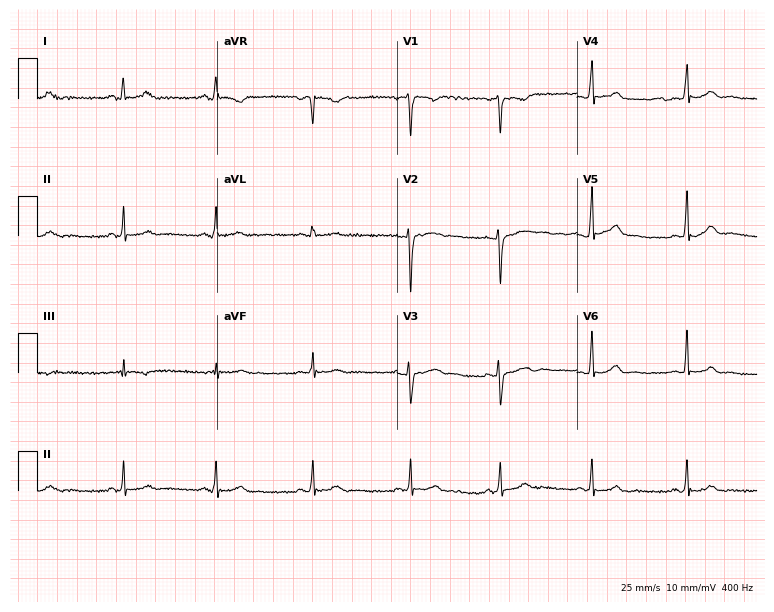
ECG — a 30-year-old woman. Labelled as a normal ECG.